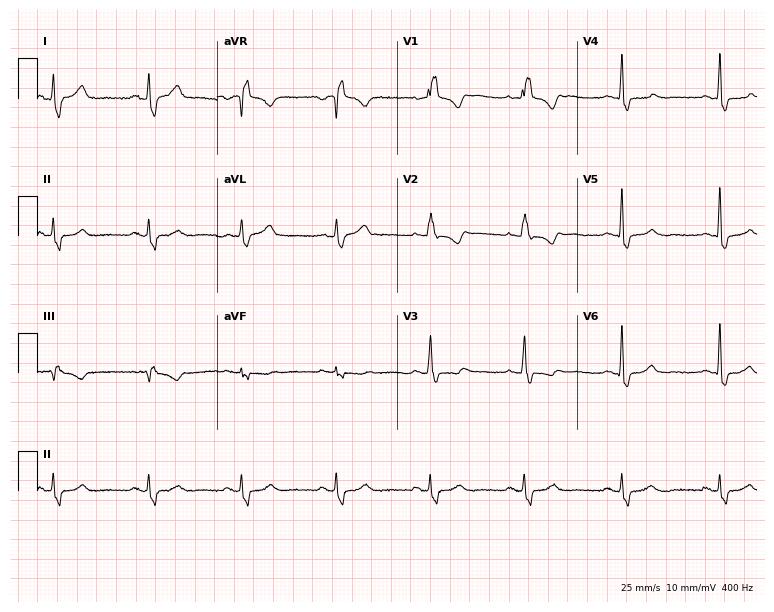
Electrocardiogram, a 51-year-old female. Interpretation includes right bundle branch block.